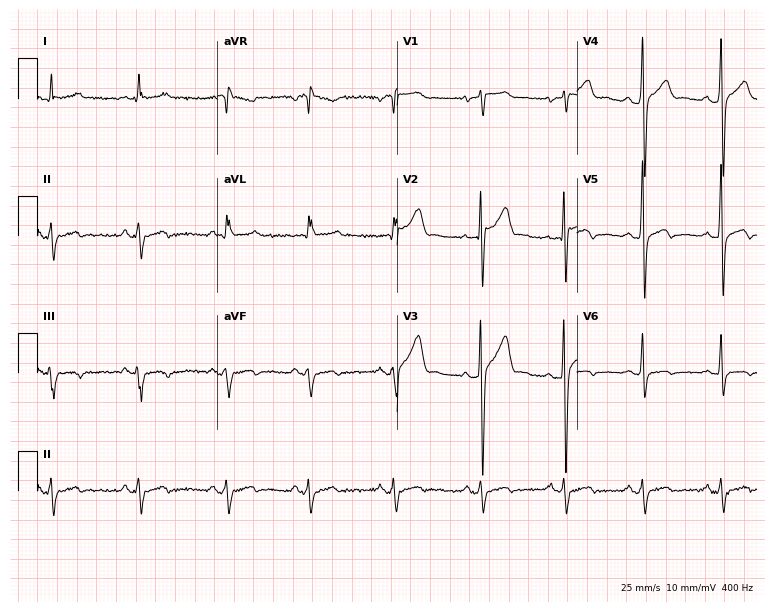
12-lead ECG from a male patient, 24 years old (7.3-second recording at 400 Hz). No first-degree AV block, right bundle branch block (RBBB), left bundle branch block (LBBB), sinus bradycardia, atrial fibrillation (AF) or sinus tachycardia recorded for this tracing.